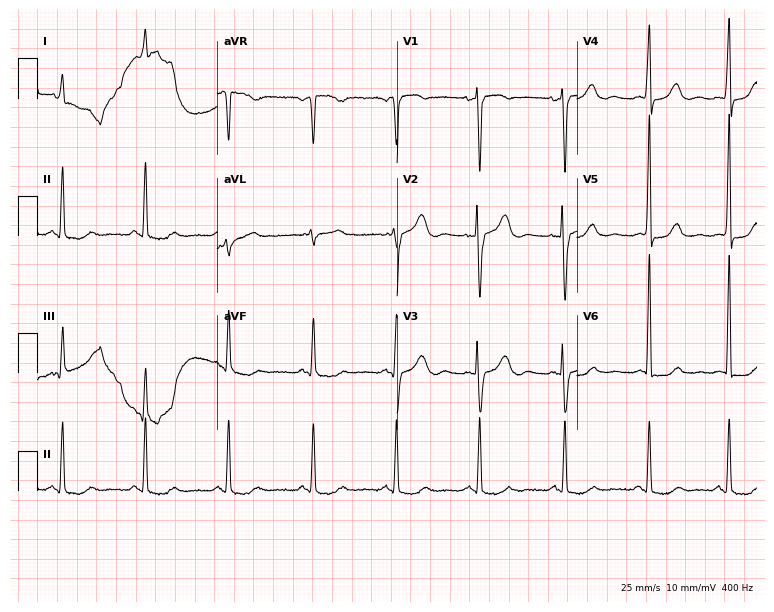
12-lead ECG from a woman, 54 years old. No first-degree AV block, right bundle branch block, left bundle branch block, sinus bradycardia, atrial fibrillation or sinus tachycardia recorded for this tracing. Only these six findings were labelled.